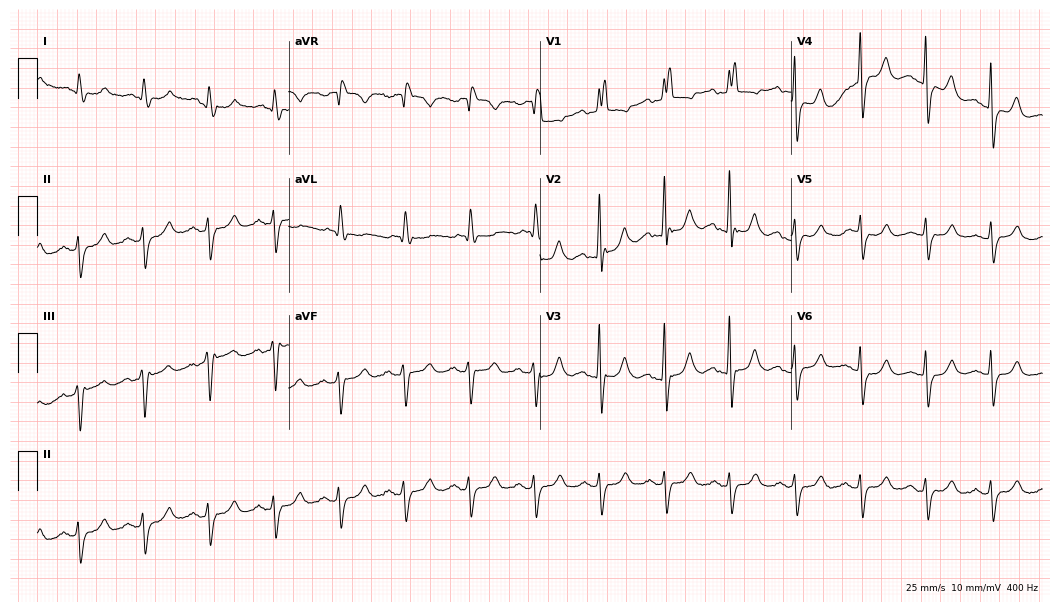
Resting 12-lead electrocardiogram. Patient: a female, 79 years old. The tracing shows right bundle branch block.